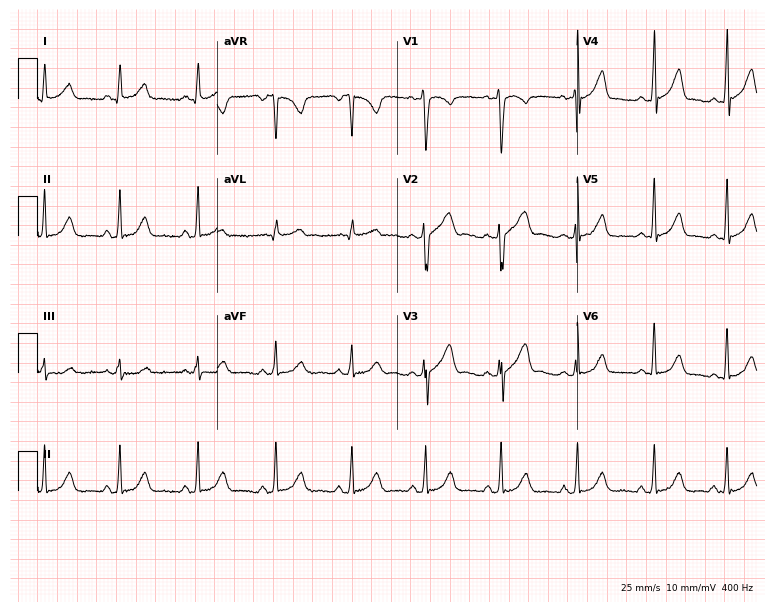
Standard 12-lead ECG recorded from a 29-year-old female. None of these six findings is recorded: first-degree AV block, right bundle branch block, left bundle branch block, sinus bradycardia, atrial fibrillation, sinus tachycardia.